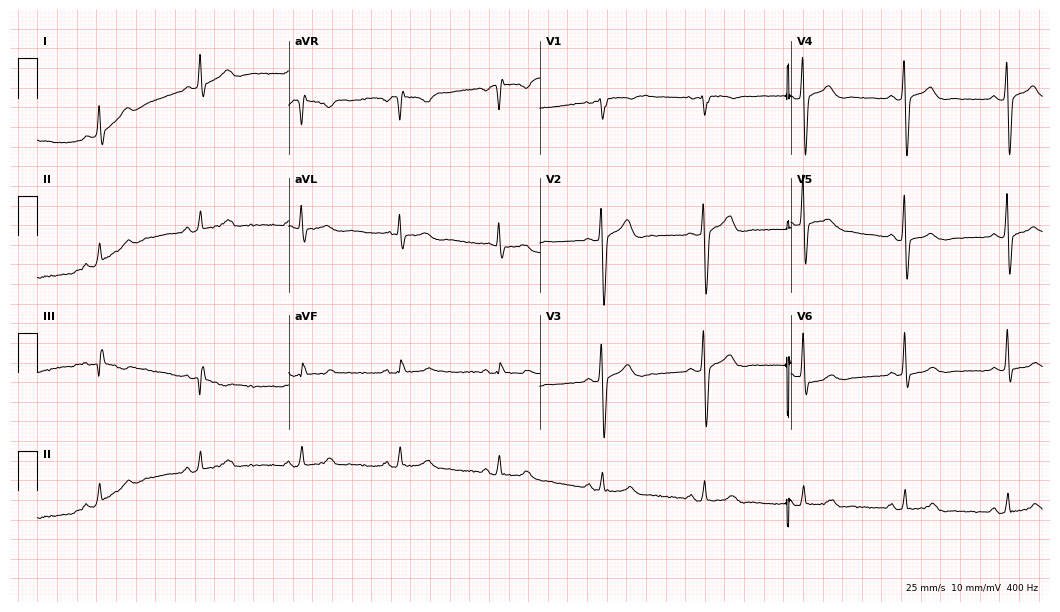
Standard 12-lead ECG recorded from a female patient, 61 years old. None of these six findings is recorded: first-degree AV block, right bundle branch block, left bundle branch block, sinus bradycardia, atrial fibrillation, sinus tachycardia. Other findings, if any, are not listed.